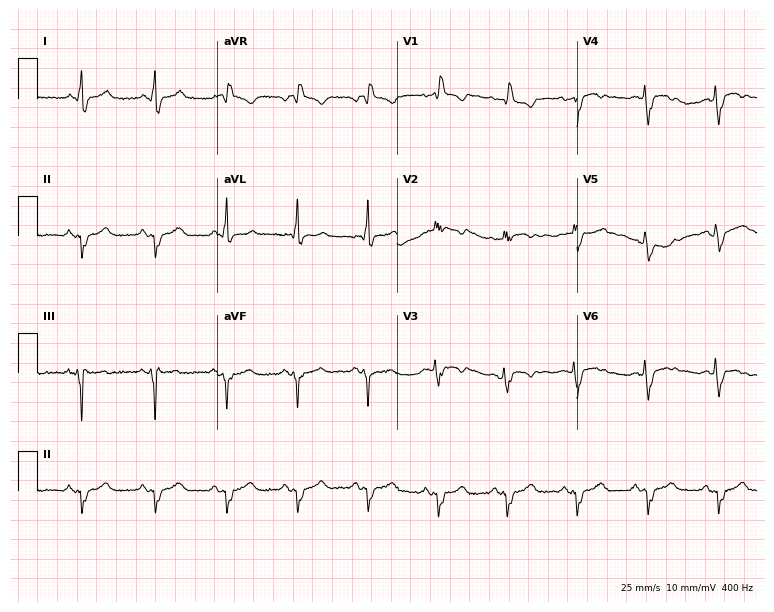
12-lead ECG (7.3-second recording at 400 Hz) from a woman, 71 years old. Findings include right bundle branch block.